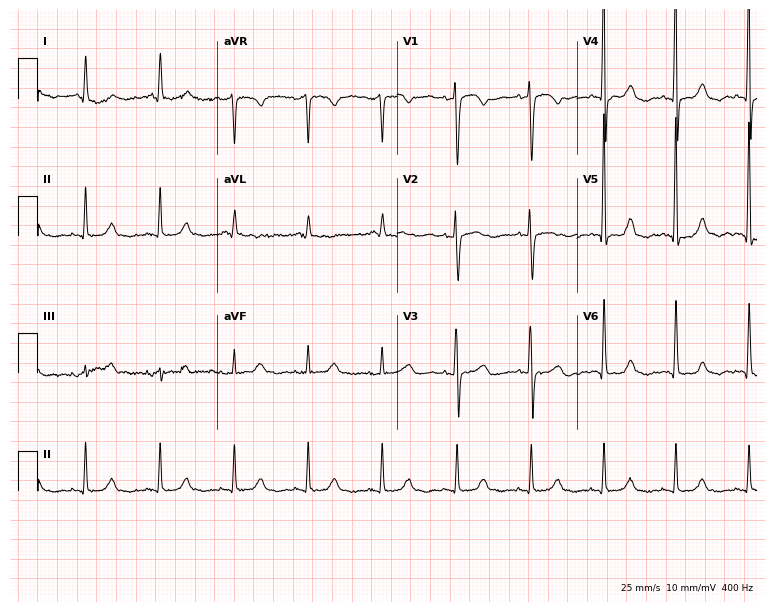
ECG (7.3-second recording at 400 Hz) — a female patient, 56 years old. Screened for six findings — first-degree AV block, right bundle branch block, left bundle branch block, sinus bradycardia, atrial fibrillation, sinus tachycardia — none is recorded.